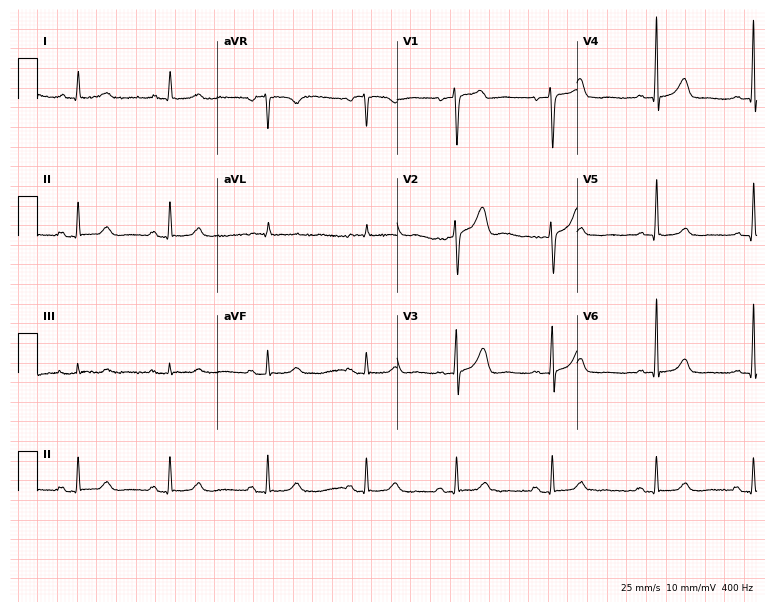
ECG (7.3-second recording at 400 Hz) — a 63-year-old male patient. Screened for six findings — first-degree AV block, right bundle branch block, left bundle branch block, sinus bradycardia, atrial fibrillation, sinus tachycardia — none is recorded. Only these six findings were labelled.